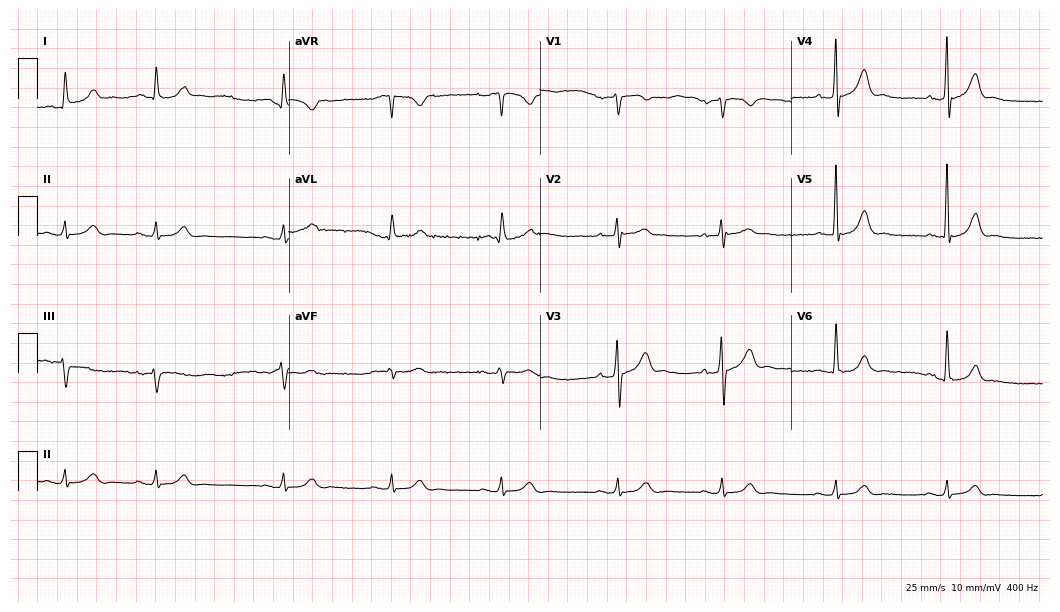
Standard 12-lead ECG recorded from an 84-year-old man (10.2-second recording at 400 Hz). Read as a normal ECG.